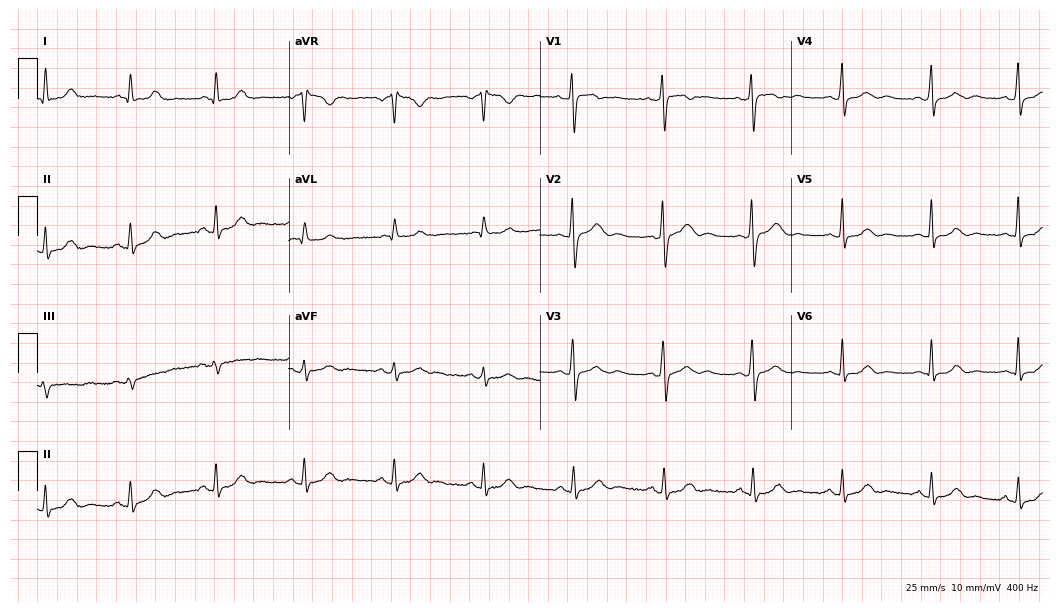
ECG (10.2-second recording at 400 Hz) — a 40-year-old female. Labelled as a normal ECG.